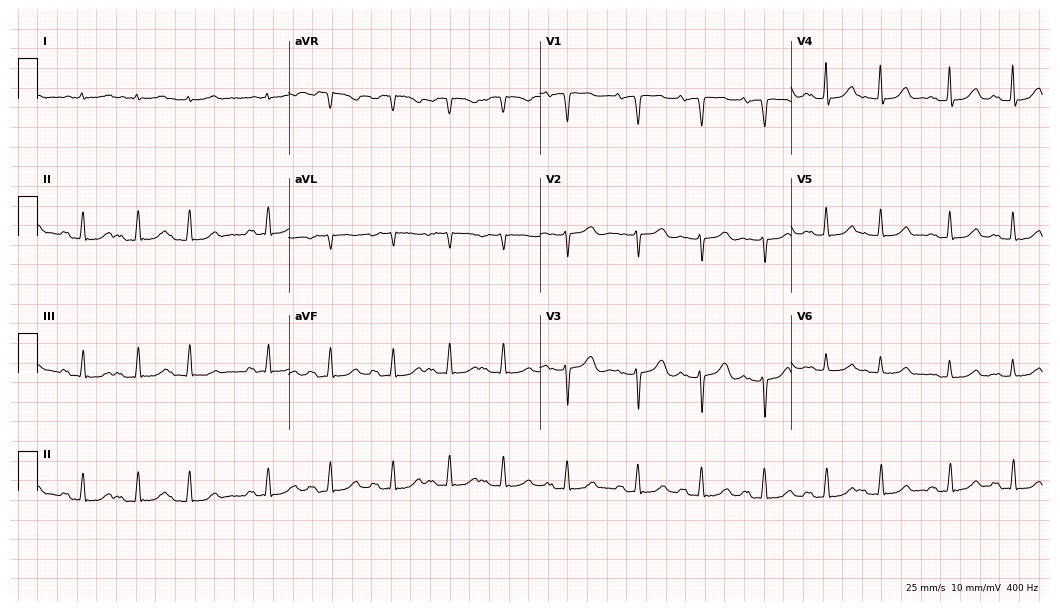
ECG — a 79-year-old female patient. Screened for six findings — first-degree AV block, right bundle branch block (RBBB), left bundle branch block (LBBB), sinus bradycardia, atrial fibrillation (AF), sinus tachycardia — none is recorded.